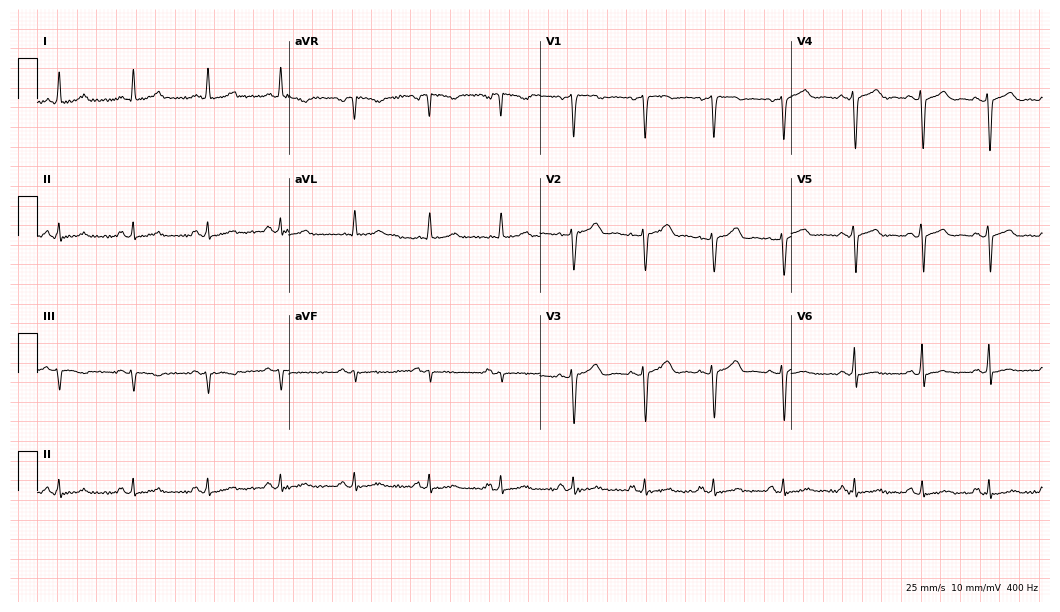
12-lead ECG from a female, 55 years old. Labelled as a normal ECG.